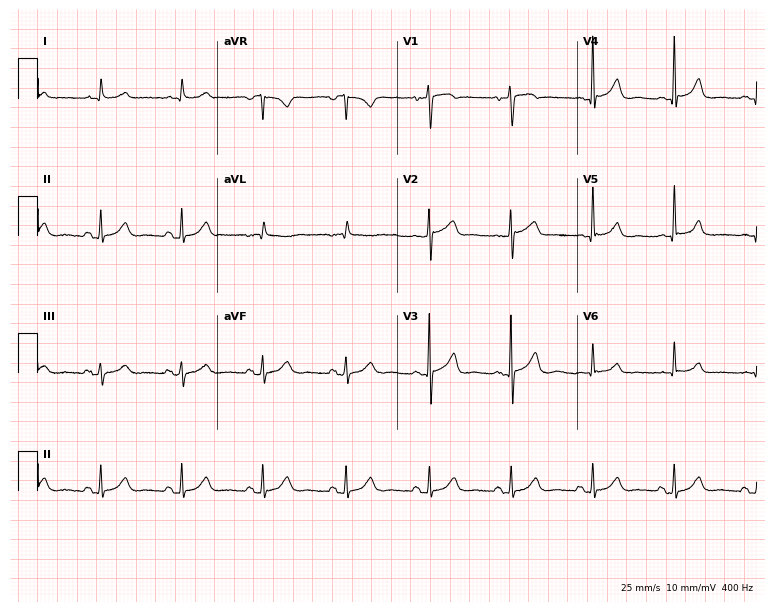
Resting 12-lead electrocardiogram (7.3-second recording at 400 Hz). Patient: a man, 72 years old. None of these six findings is recorded: first-degree AV block, right bundle branch block (RBBB), left bundle branch block (LBBB), sinus bradycardia, atrial fibrillation (AF), sinus tachycardia. Findings outside these six are not listed.